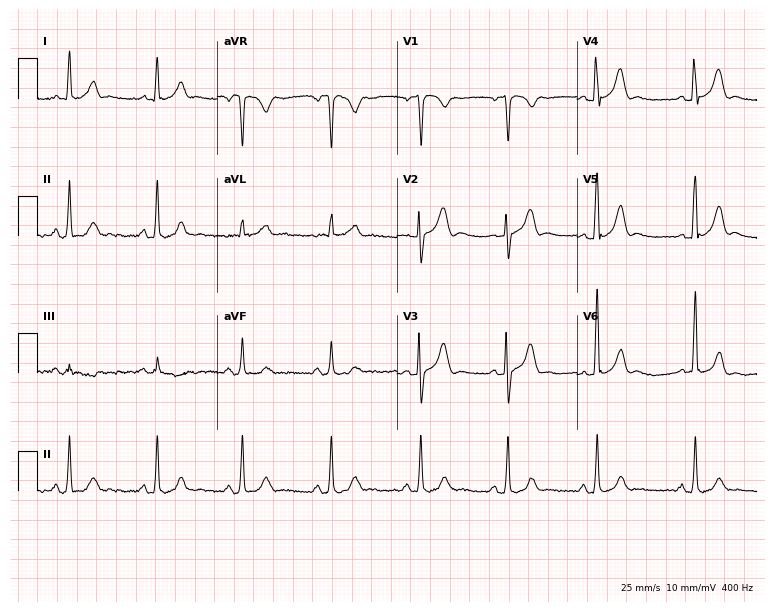
12-lead ECG (7.3-second recording at 400 Hz) from a 38-year-old male. Screened for six findings — first-degree AV block, right bundle branch block, left bundle branch block, sinus bradycardia, atrial fibrillation, sinus tachycardia — none is recorded. Only these six findings were labelled.